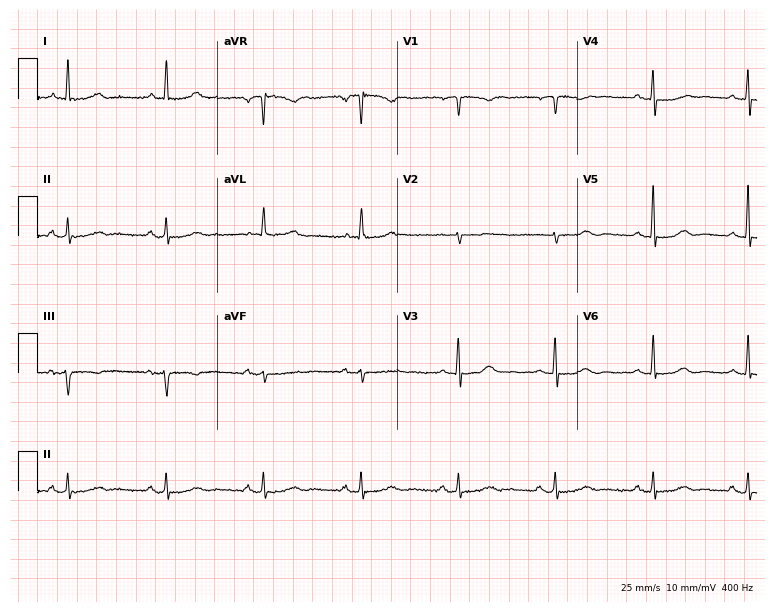
ECG — a female patient, 75 years old. Labelled as a normal ECG.